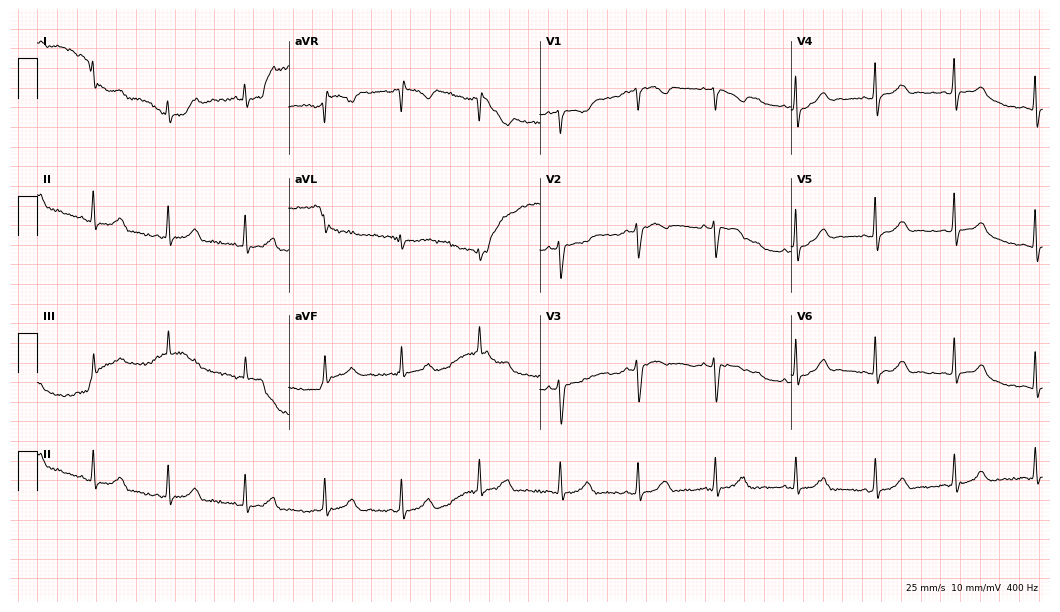
Standard 12-lead ECG recorded from a female patient, 18 years old (10.2-second recording at 400 Hz). None of these six findings is recorded: first-degree AV block, right bundle branch block, left bundle branch block, sinus bradycardia, atrial fibrillation, sinus tachycardia. Findings outside these six are not listed.